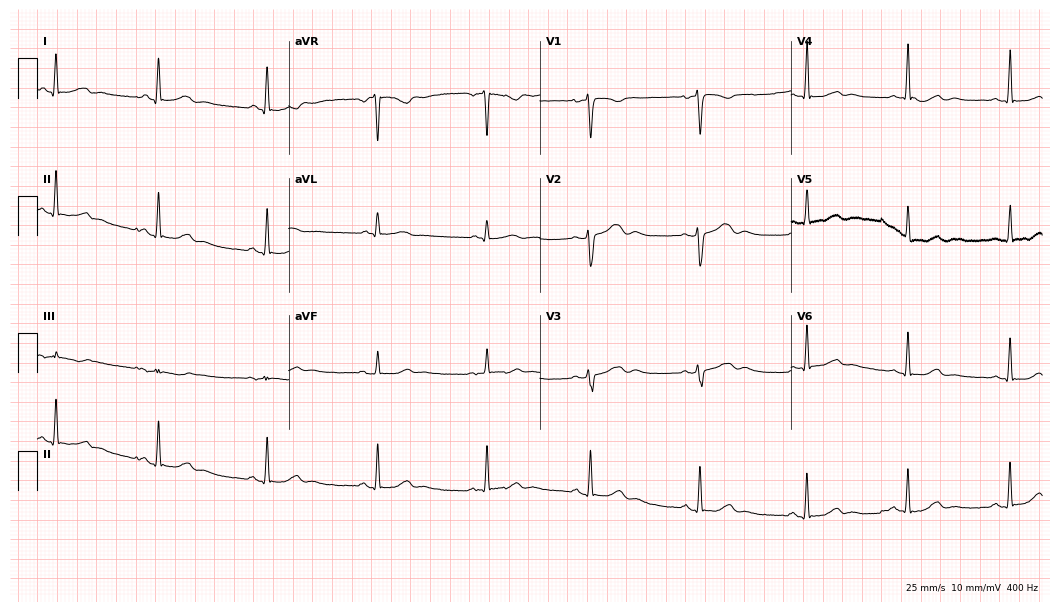
Electrocardiogram (10.2-second recording at 400 Hz), a 37-year-old woman. Overall reading on record: normal ECG.